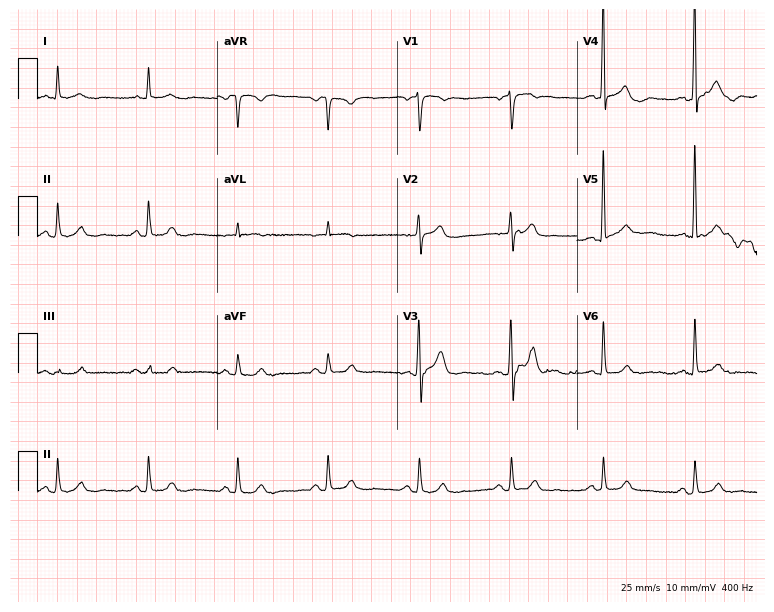
Resting 12-lead electrocardiogram (7.3-second recording at 400 Hz). Patient: a 76-year-old male. Read as a normal ECG.